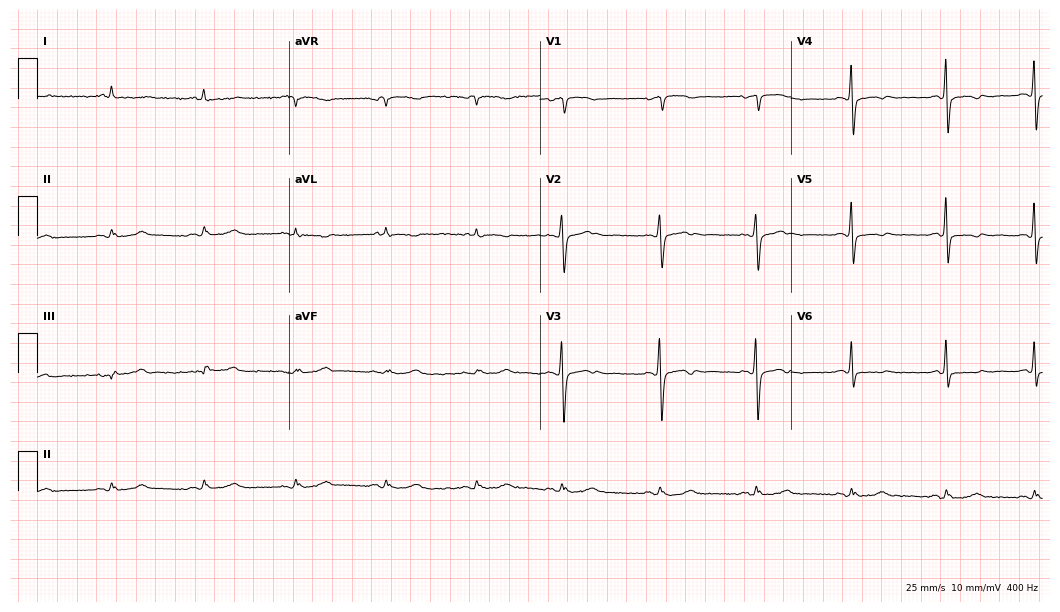
Standard 12-lead ECG recorded from a female, 70 years old. None of these six findings is recorded: first-degree AV block, right bundle branch block, left bundle branch block, sinus bradycardia, atrial fibrillation, sinus tachycardia.